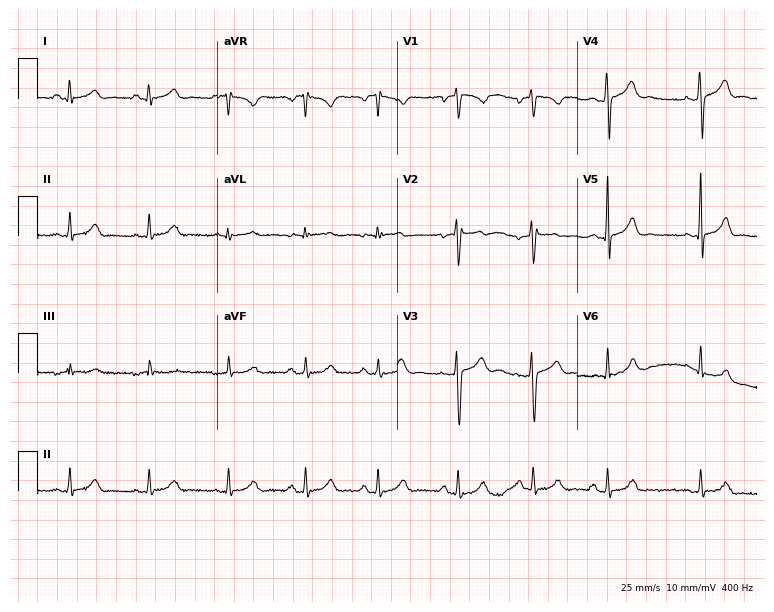
Standard 12-lead ECG recorded from a female, 24 years old (7.3-second recording at 400 Hz). None of these six findings is recorded: first-degree AV block, right bundle branch block (RBBB), left bundle branch block (LBBB), sinus bradycardia, atrial fibrillation (AF), sinus tachycardia. Only these six findings were labelled.